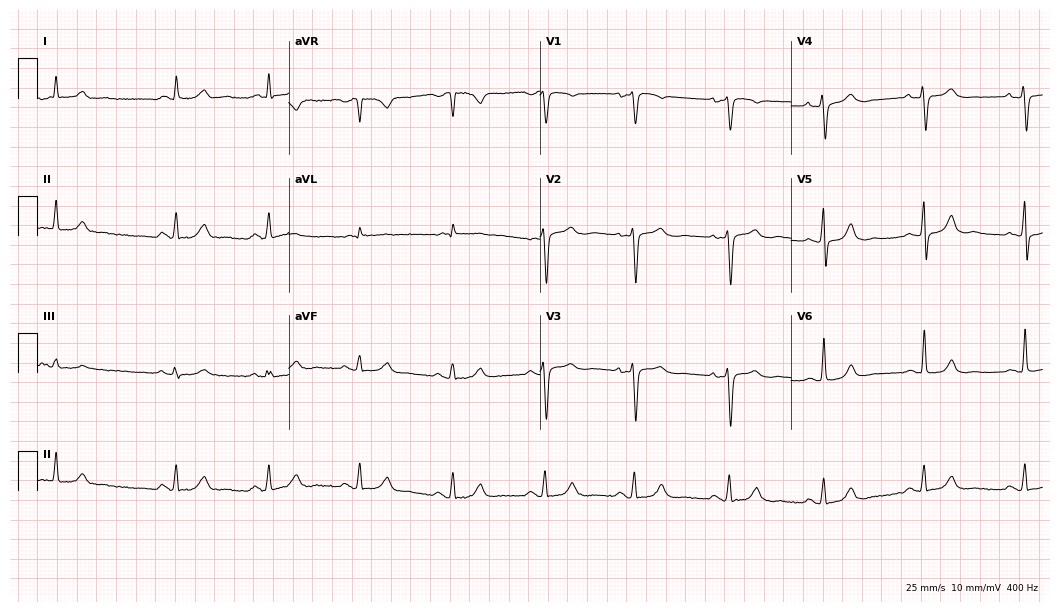
12-lead ECG from a 67-year-old female patient. No first-degree AV block, right bundle branch block, left bundle branch block, sinus bradycardia, atrial fibrillation or sinus tachycardia recorded for this tracing.